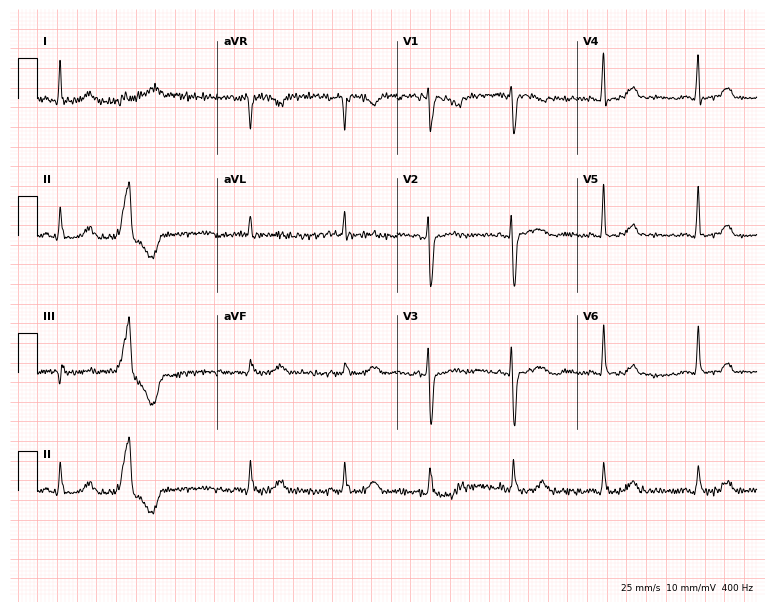
12-lead ECG from a female, 40 years old. Screened for six findings — first-degree AV block, right bundle branch block, left bundle branch block, sinus bradycardia, atrial fibrillation, sinus tachycardia — none is recorded. Only these six findings were labelled.